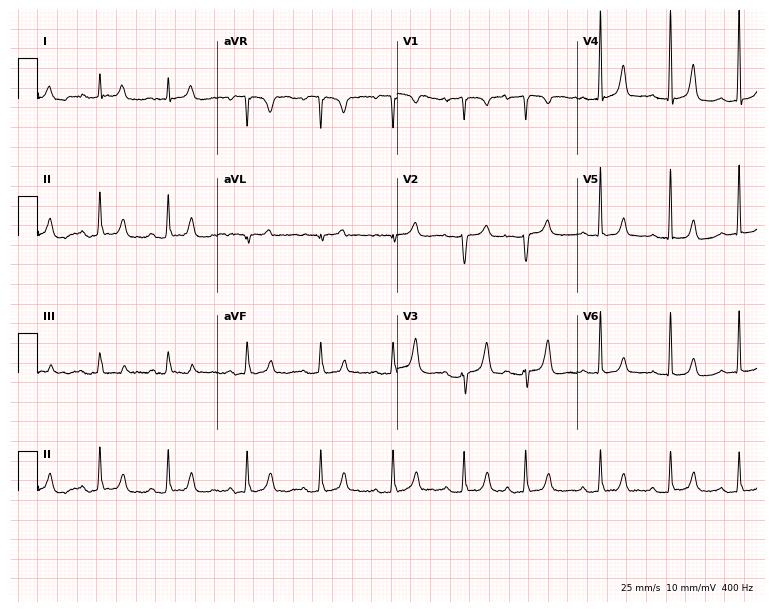
12-lead ECG (7.3-second recording at 400 Hz) from an 81-year-old female patient. Screened for six findings — first-degree AV block, right bundle branch block, left bundle branch block, sinus bradycardia, atrial fibrillation, sinus tachycardia — none is recorded. Findings outside these six are not listed.